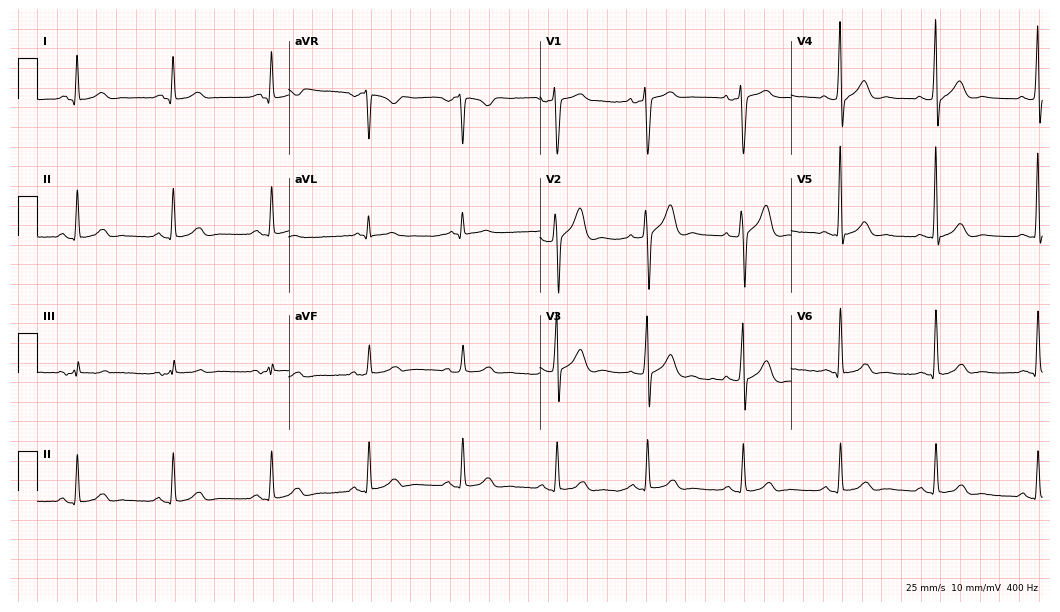
ECG (10.2-second recording at 400 Hz) — a male patient, 40 years old. Labelled as a normal ECG.